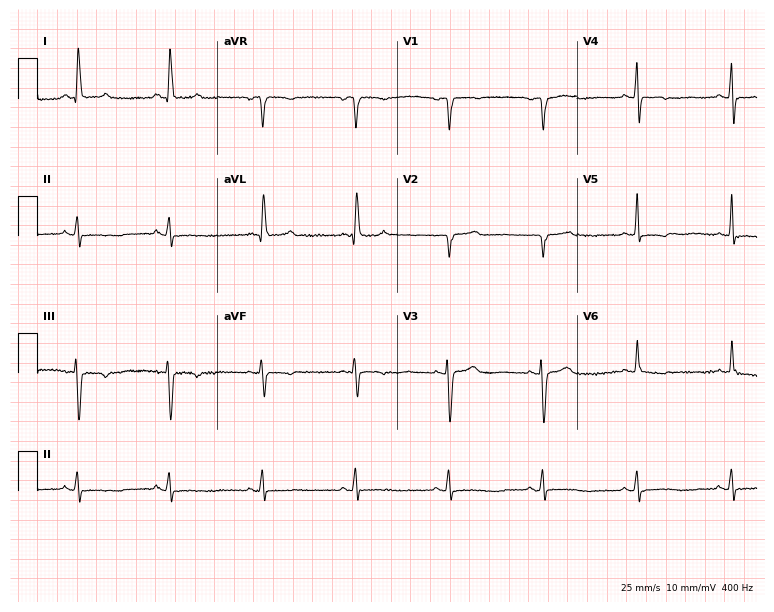
Electrocardiogram, a woman, 68 years old. Of the six screened findings (first-degree AV block, right bundle branch block, left bundle branch block, sinus bradycardia, atrial fibrillation, sinus tachycardia), none is recorded. Other findings, if any, are not listed.